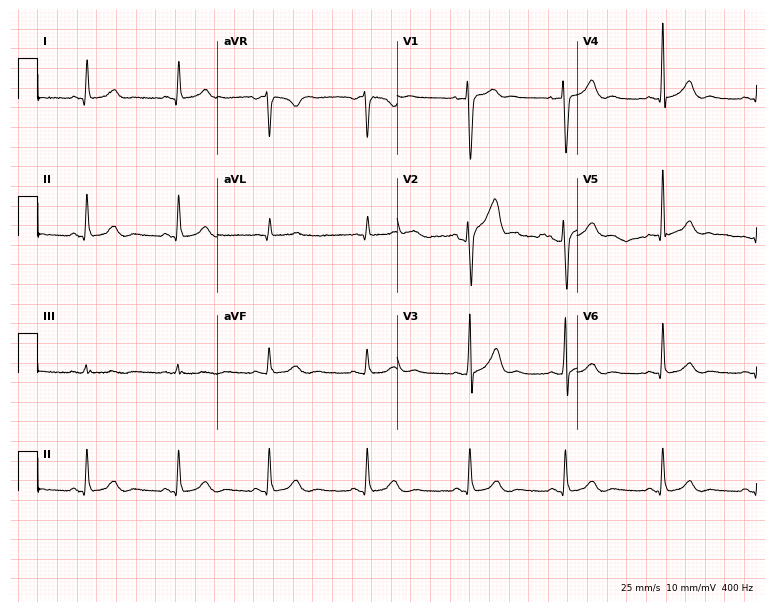
Electrocardiogram (7.3-second recording at 400 Hz), a male patient, 40 years old. Of the six screened findings (first-degree AV block, right bundle branch block (RBBB), left bundle branch block (LBBB), sinus bradycardia, atrial fibrillation (AF), sinus tachycardia), none is recorded. Findings outside these six are not listed.